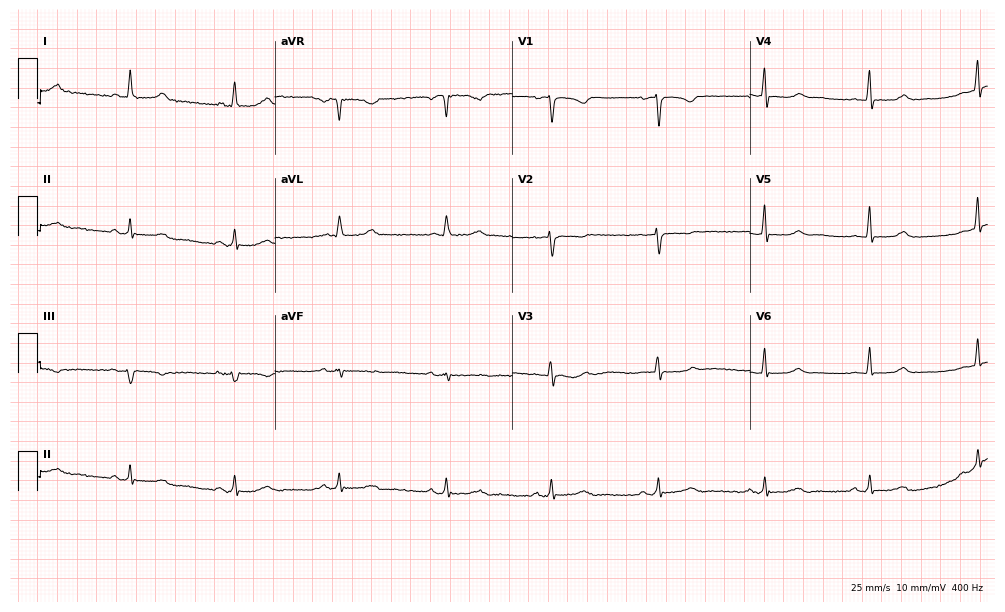
Electrocardiogram (9.7-second recording at 400 Hz), a 62-year-old female patient. Of the six screened findings (first-degree AV block, right bundle branch block, left bundle branch block, sinus bradycardia, atrial fibrillation, sinus tachycardia), none is recorded. Only these six findings were labelled.